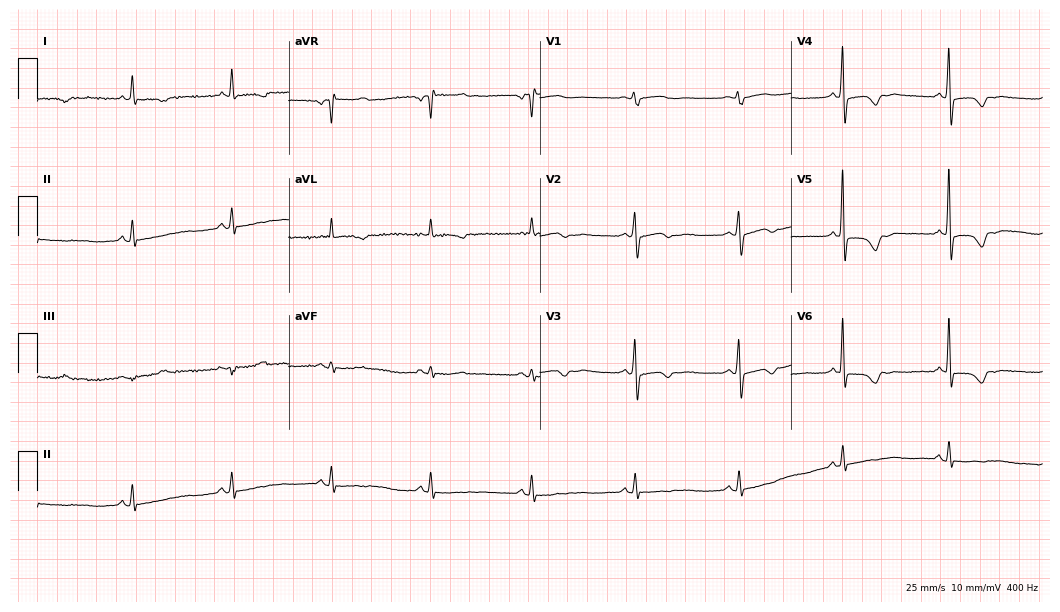
Electrocardiogram, a 77-year-old female. Of the six screened findings (first-degree AV block, right bundle branch block, left bundle branch block, sinus bradycardia, atrial fibrillation, sinus tachycardia), none is recorded.